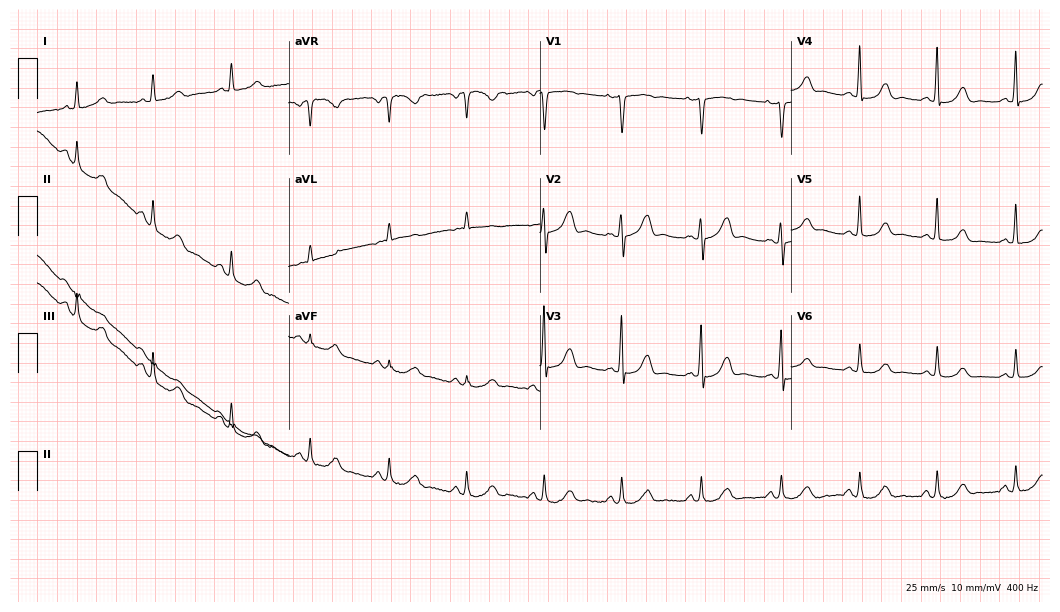
Resting 12-lead electrocardiogram. Patient: an 80-year-old female. Read as a normal ECG.